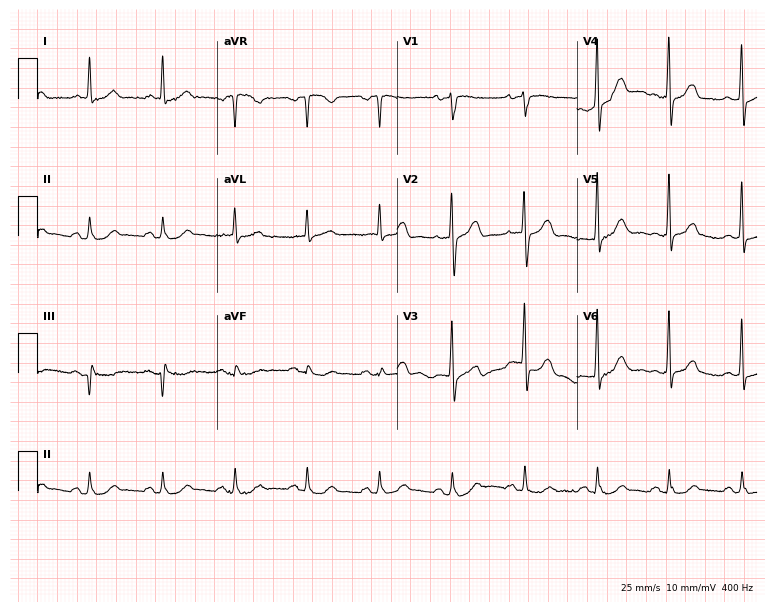
Standard 12-lead ECG recorded from a 68-year-old man. Read as a normal ECG.